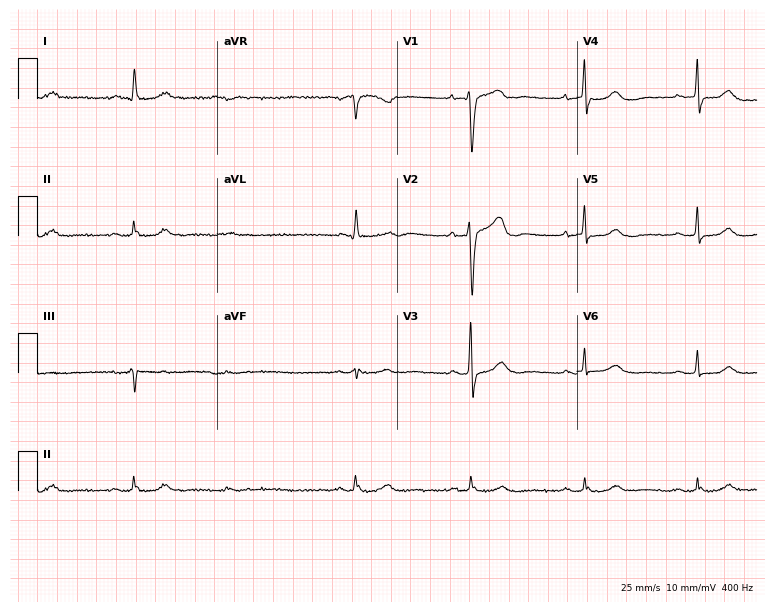
Standard 12-lead ECG recorded from an 85-year-old male patient (7.3-second recording at 400 Hz). None of these six findings is recorded: first-degree AV block, right bundle branch block, left bundle branch block, sinus bradycardia, atrial fibrillation, sinus tachycardia.